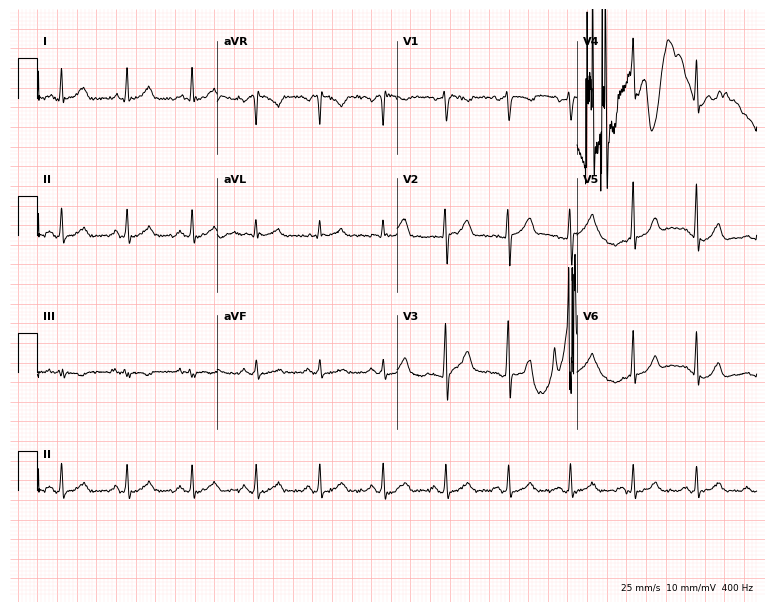
Standard 12-lead ECG recorded from a 33-year-old male patient. Read as a normal ECG.